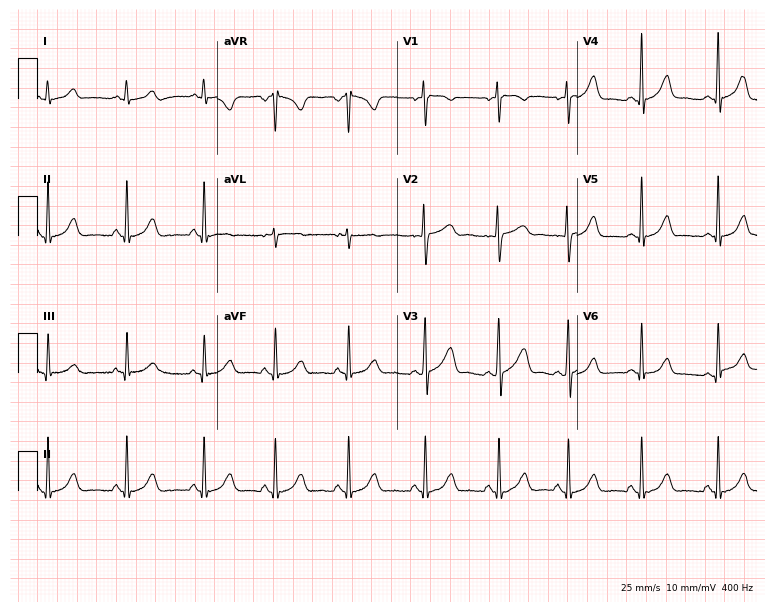
Standard 12-lead ECG recorded from a 24-year-old woman (7.3-second recording at 400 Hz). None of these six findings is recorded: first-degree AV block, right bundle branch block, left bundle branch block, sinus bradycardia, atrial fibrillation, sinus tachycardia.